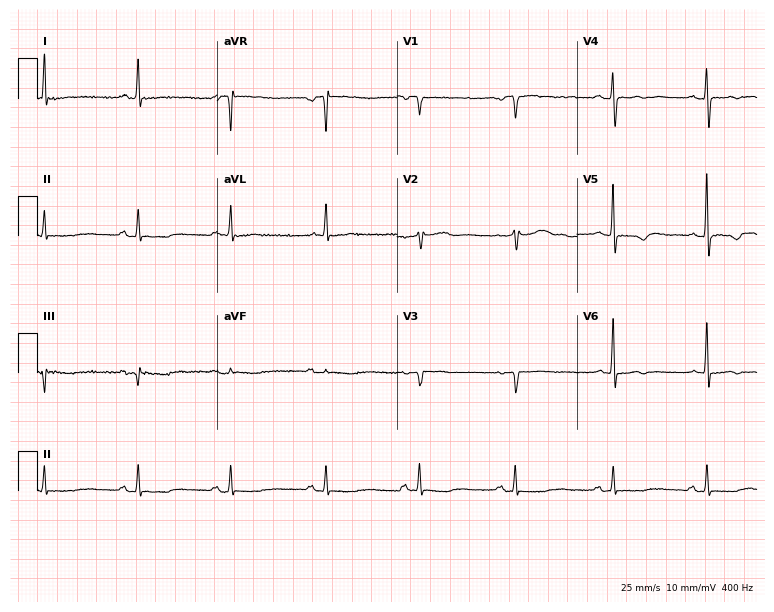
ECG — a 65-year-old female patient. Screened for six findings — first-degree AV block, right bundle branch block, left bundle branch block, sinus bradycardia, atrial fibrillation, sinus tachycardia — none is recorded.